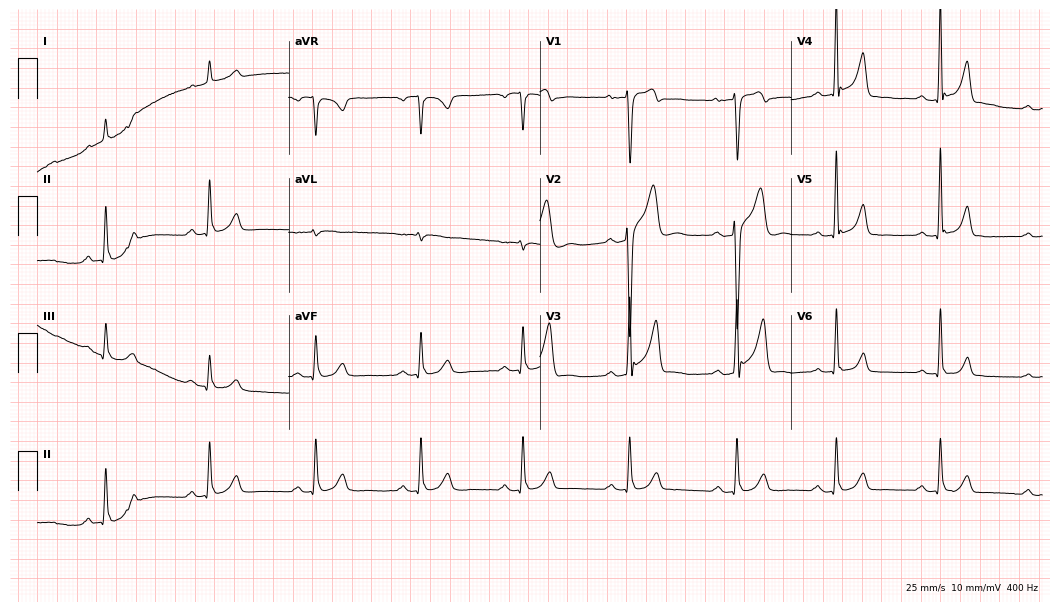
12-lead ECG from a man, 59 years old. Labelled as a normal ECG.